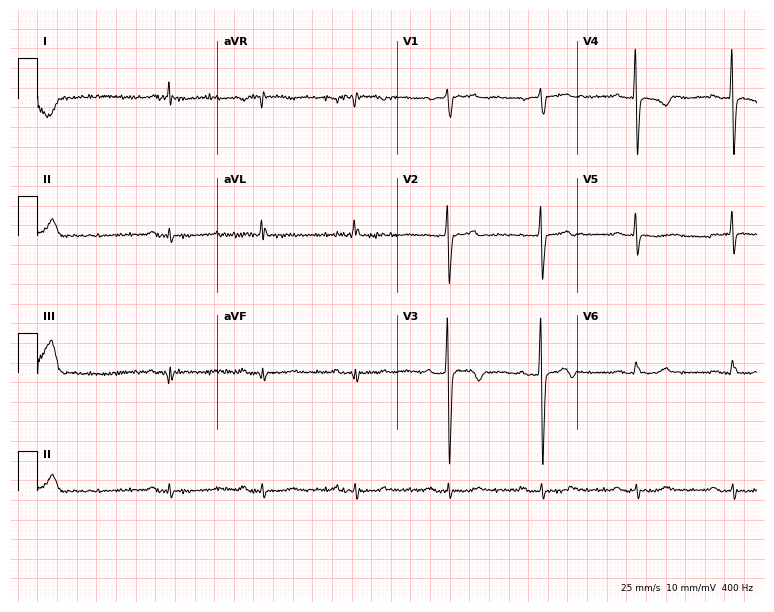
12-lead ECG (7.3-second recording at 400 Hz) from a male, 53 years old. Screened for six findings — first-degree AV block, right bundle branch block, left bundle branch block, sinus bradycardia, atrial fibrillation, sinus tachycardia — none is recorded.